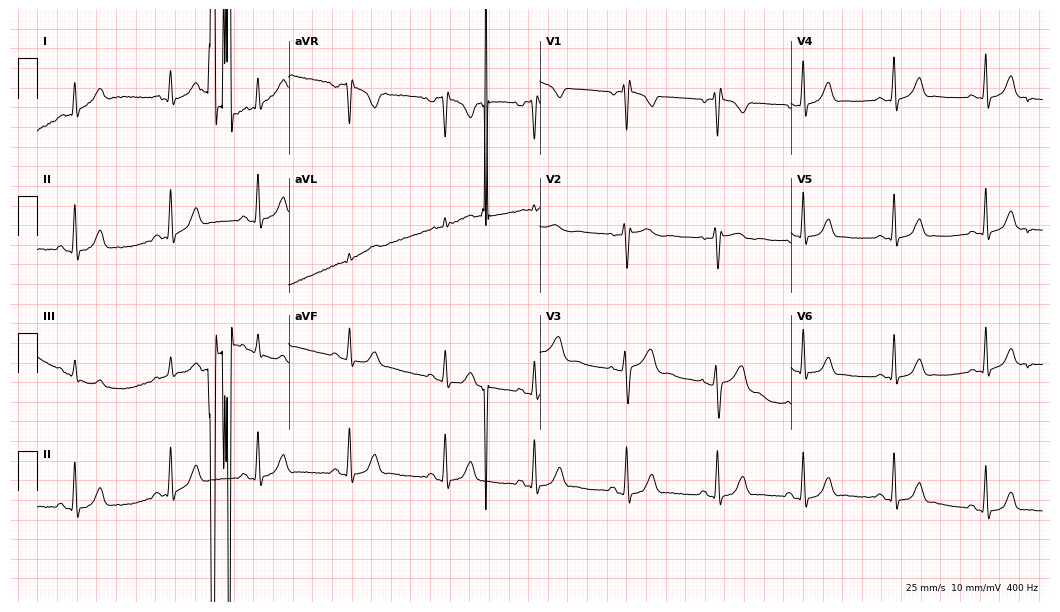
Resting 12-lead electrocardiogram. Patient: a 30-year-old woman. None of these six findings is recorded: first-degree AV block, right bundle branch block, left bundle branch block, sinus bradycardia, atrial fibrillation, sinus tachycardia.